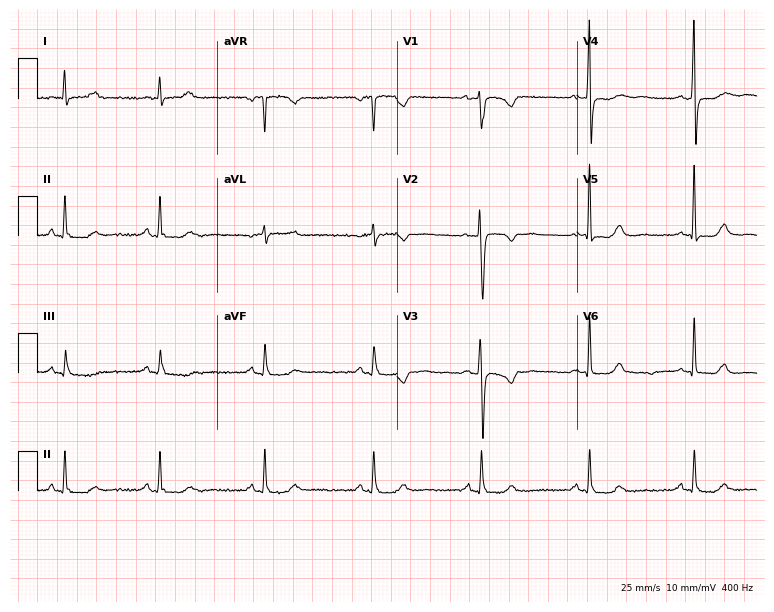
12-lead ECG from a woman, 57 years old. No first-degree AV block, right bundle branch block (RBBB), left bundle branch block (LBBB), sinus bradycardia, atrial fibrillation (AF) or sinus tachycardia recorded for this tracing.